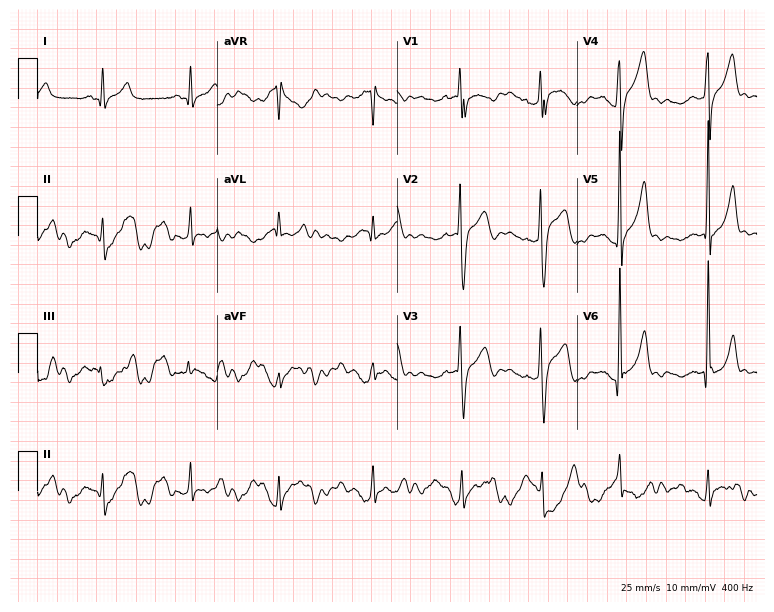
12-lead ECG from a 38-year-old male. No first-degree AV block, right bundle branch block (RBBB), left bundle branch block (LBBB), sinus bradycardia, atrial fibrillation (AF) or sinus tachycardia recorded for this tracing.